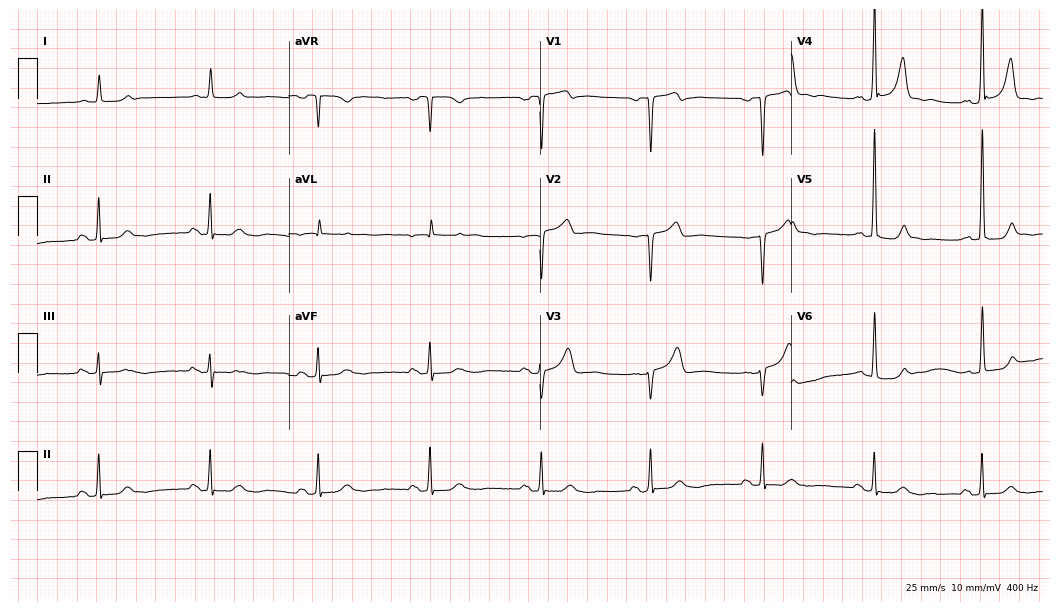
12-lead ECG from a man, 77 years old. Labelled as a normal ECG.